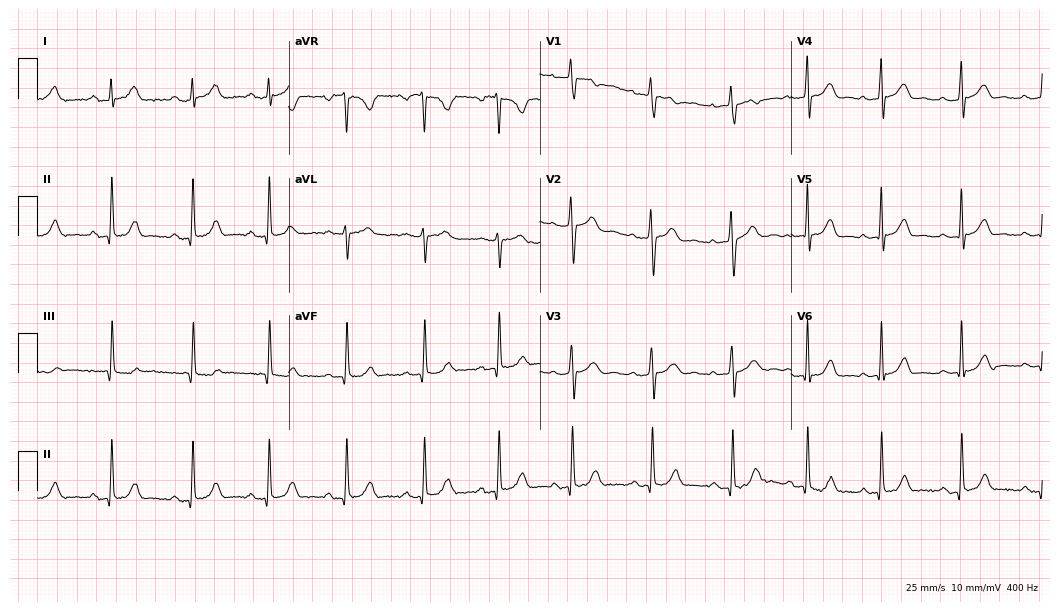
Resting 12-lead electrocardiogram (10.2-second recording at 400 Hz). Patient: a female, 21 years old. None of these six findings is recorded: first-degree AV block, right bundle branch block, left bundle branch block, sinus bradycardia, atrial fibrillation, sinus tachycardia.